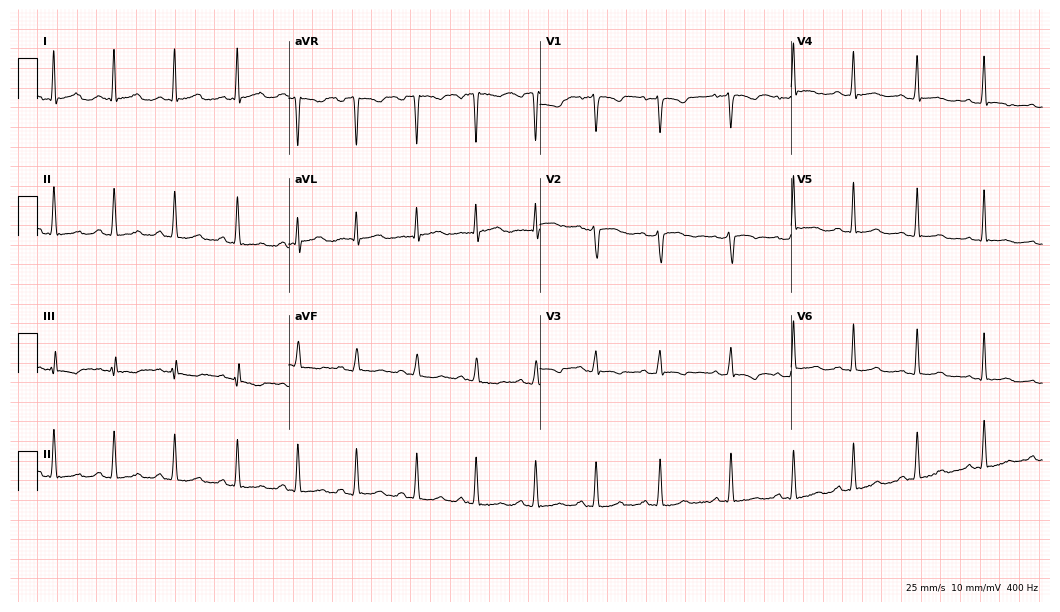
Standard 12-lead ECG recorded from a woman, 17 years old (10.2-second recording at 400 Hz). Read as a normal ECG.